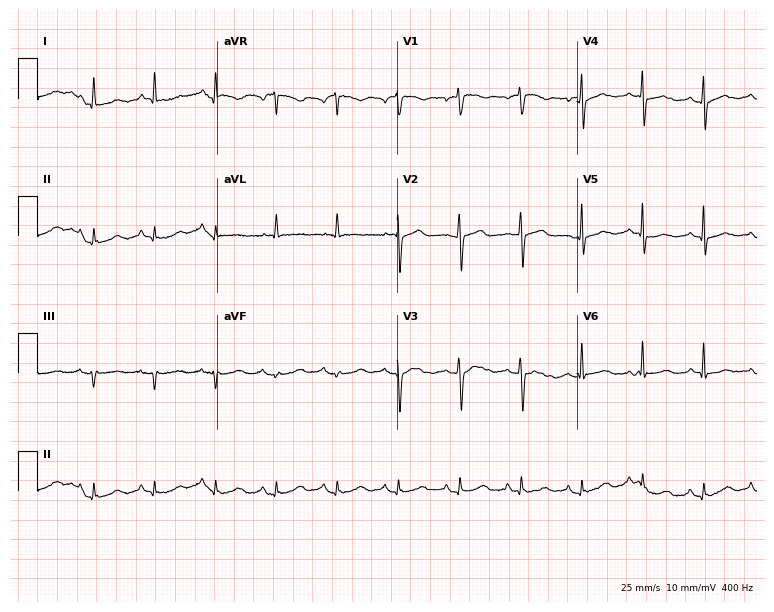
12-lead ECG (7.3-second recording at 400 Hz) from an 80-year-old female. Screened for six findings — first-degree AV block, right bundle branch block, left bundle branch block, sinus bradycardia, atrial fibrillation, sinus tachycardia — none is recorded. Other findings, if any, are not listed.